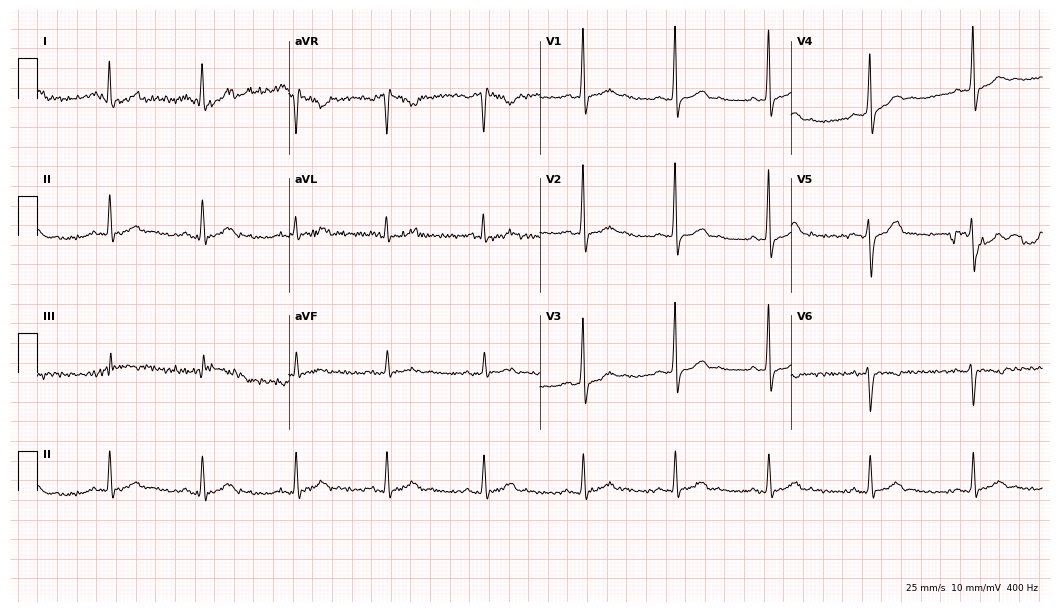
Resting 12-lead electrocardiogram (10.2-second recording at 400 Hz). Patient: a male, 38 years old. None of these six findings is recorded: first-degree AV block, right bundle branch block, left bundle branch block, sinus bradycardia, atrial fibrillation, sinus tachycardia. Only these six findings were labelled.